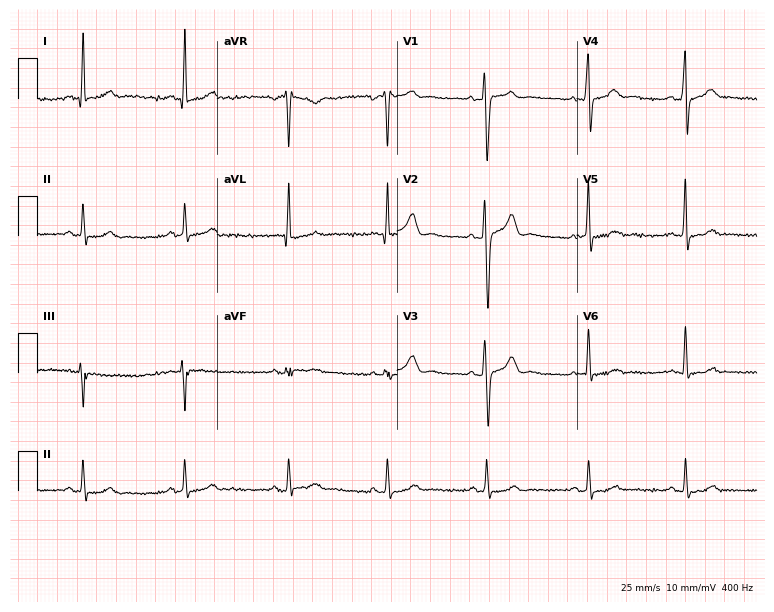
ECG (7.3-second recording at 400 Hz) — a male, 33 years old. Labelled as a normal ECG.